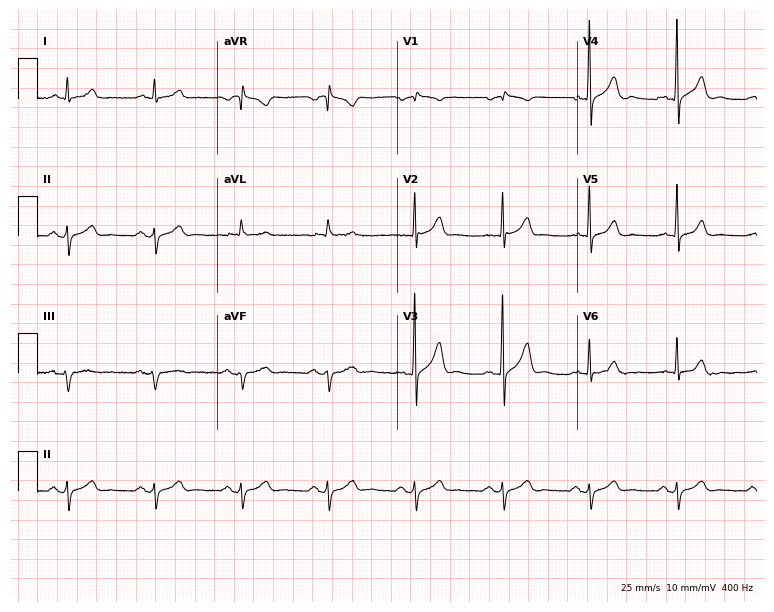
Electrocardiogram (7.3-second recording at 400 Hz), a 59-year-old male. Overall reading on record: normal ECG.